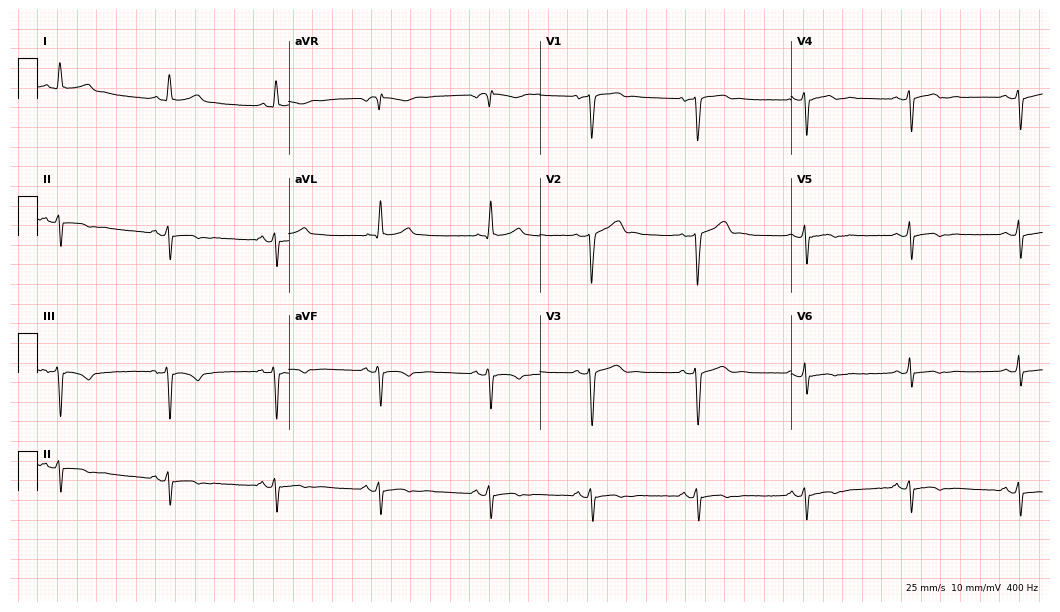
12-lead ECG from a 68-year-old woman. No first-degree AV block, right bundle branch block, left bundle branch block, sinus bradycardia, atrial fibrillation or sinus tachycardia recorded for this tracing.